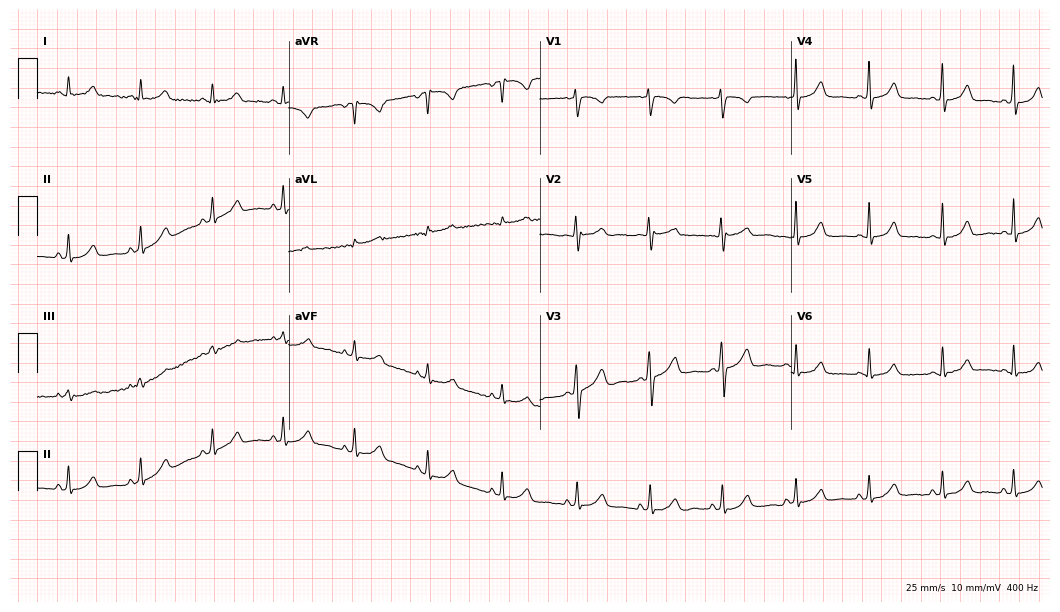
ECG — a 39-year-old female. Labelled as a normal ECG.